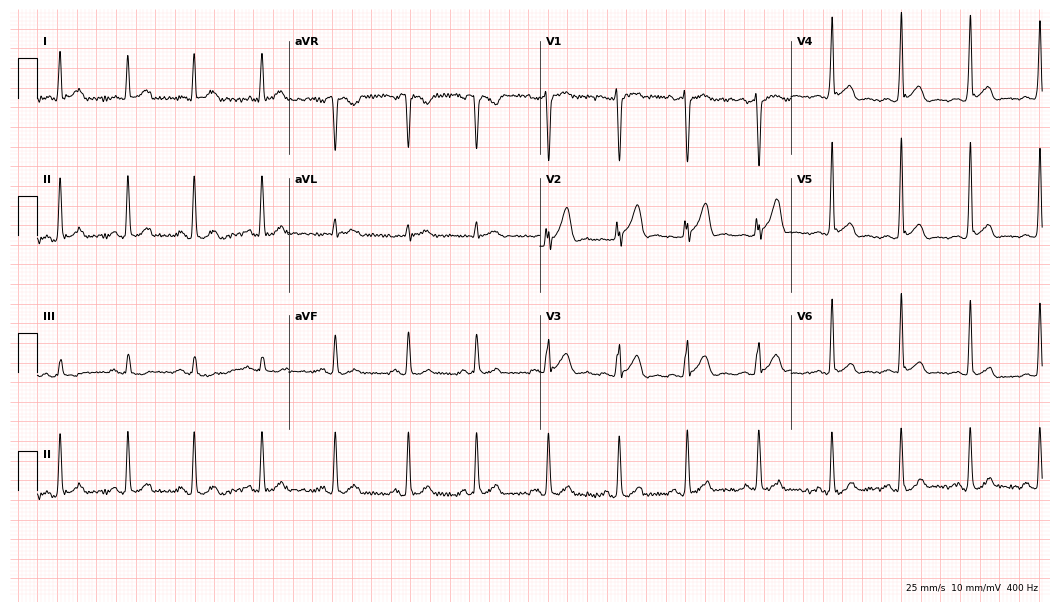
Electrocardiogram, a man, 26 years old. Overall reading on record: normal ECG.